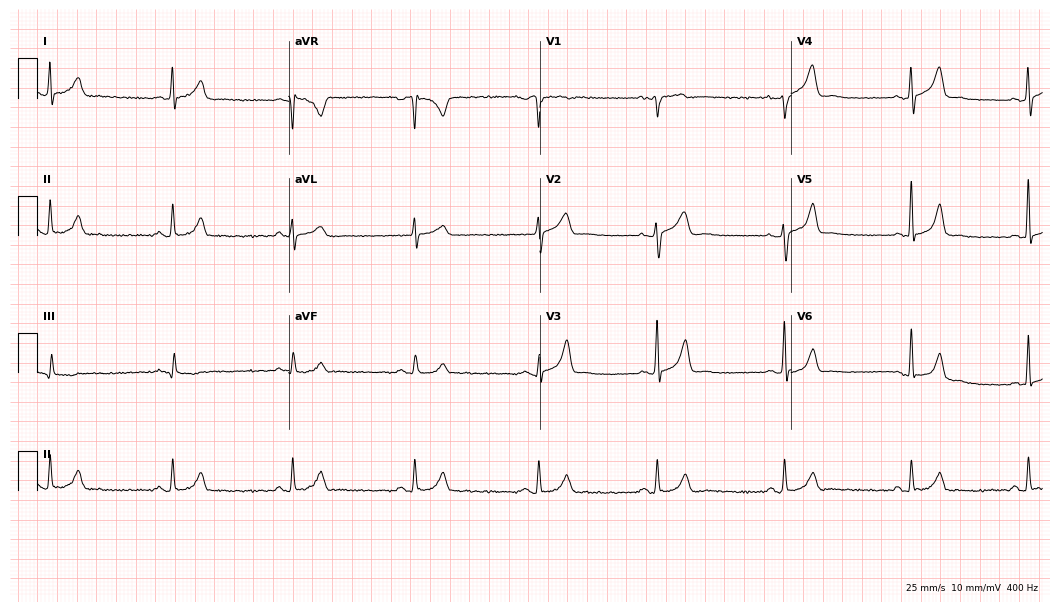
Resting 12-lead electrocardiogram (10.2-second recording at 400 Hz). Patient: a 39-year-old female. None of these six findings is recorded: first-degree AV block, right bundle branch block, left bundle branch block, sinus bradycardia, atrial fibrillation, sinus tachycardia.